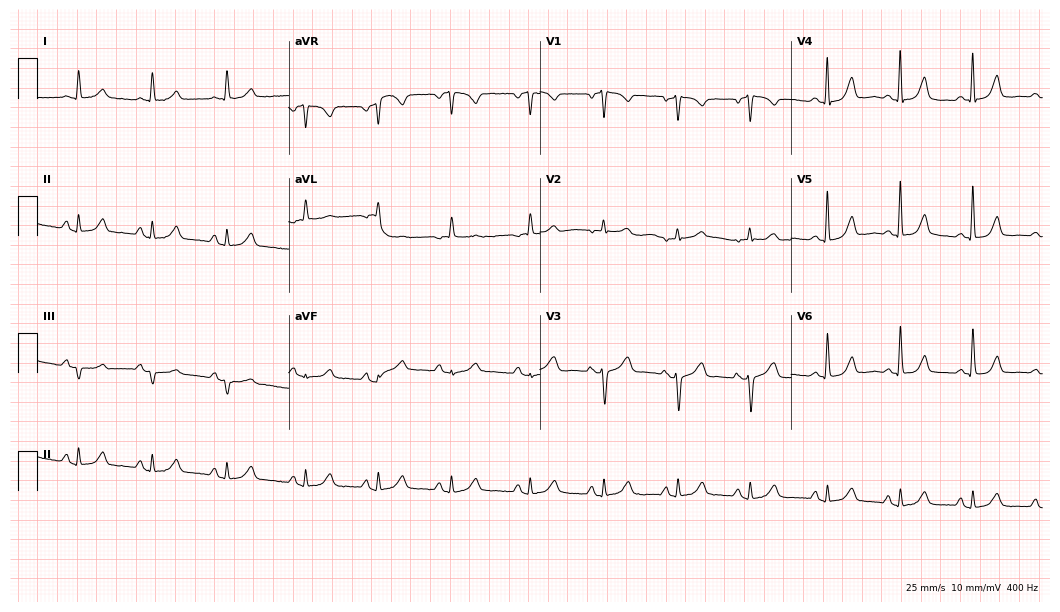
Standard 12-lead ECG recorded from a woman, 78 years old. Read as a normal ECG.